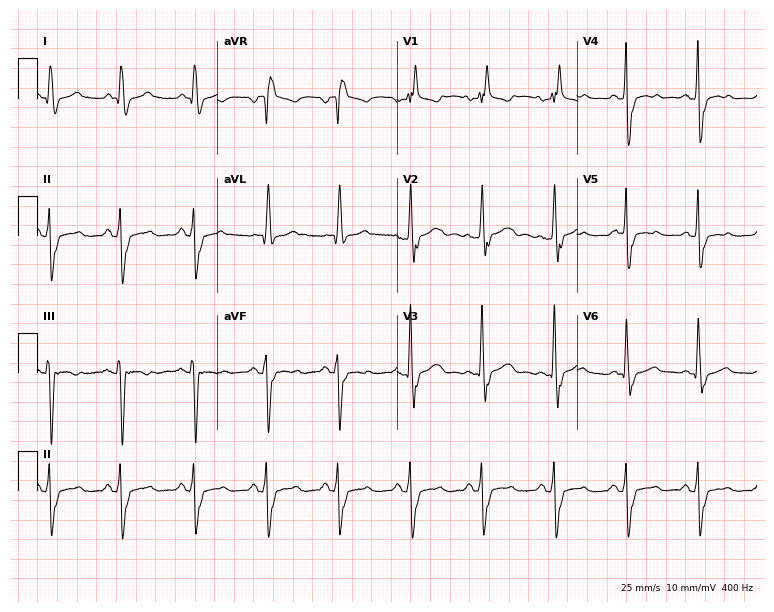
12-lead ECG from a female, 79 years old. Findings include right bundle branch block.